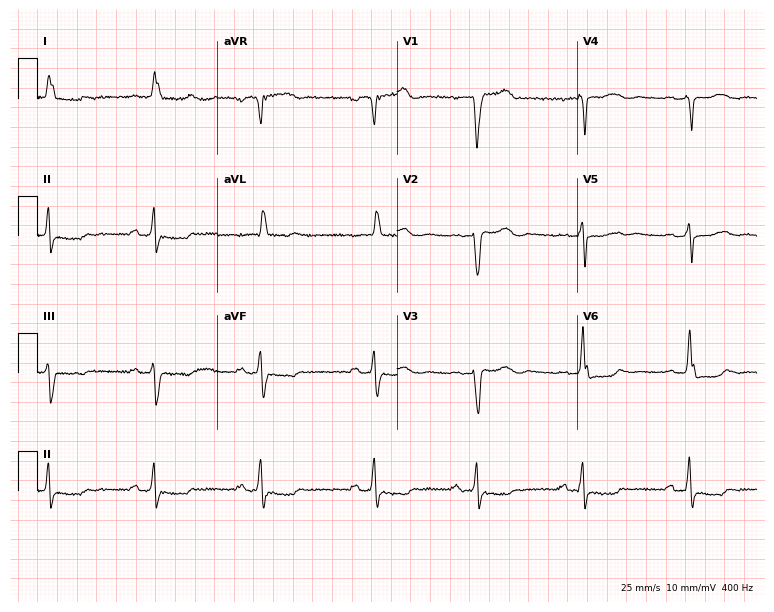
Electrocardiogram (7.3-second recording at 400 Hz), a female, 71 years old. Interpretation includes left bundle branch block (LBBB).